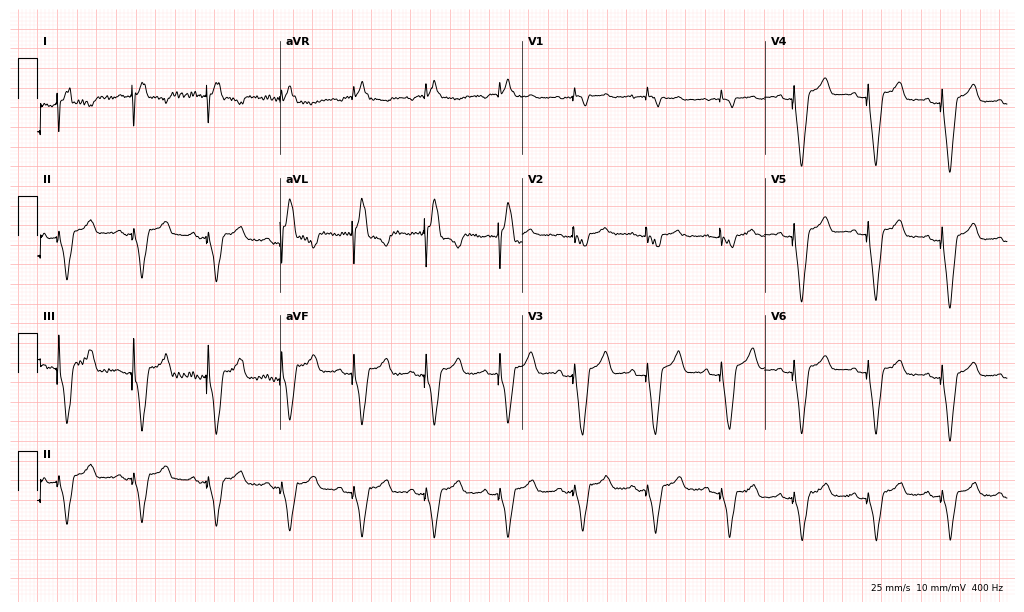
Resting 12-lead electrocardiogram. Patient: a 75-year-old woman. None of these six findings is recorded: first-degree AV block, right bundle branch block, left bundle branch block, sinus bradycardia, atrial fibrillation, sinus tachycardia. Only these six findings were labelled.